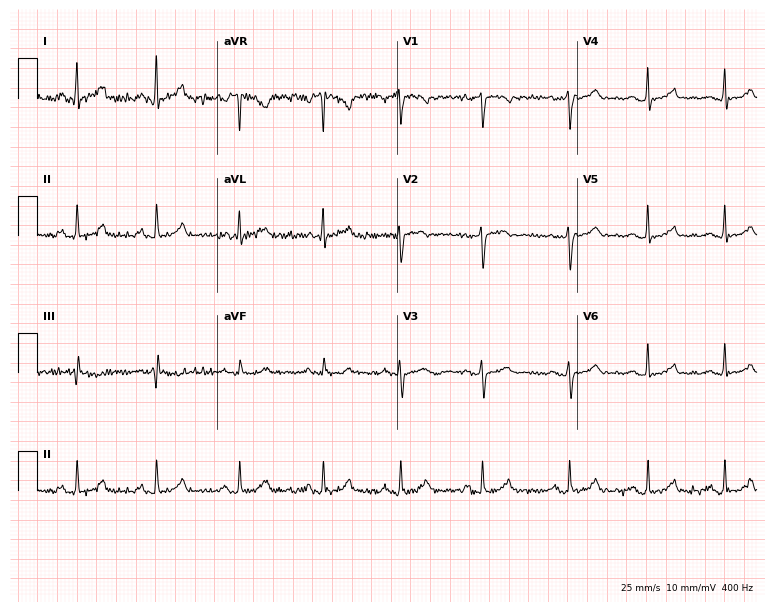
Standard 12-lead ECG recorded from a female, 24 years old (7.3-second recording at 400 Hz). Read as a normal ECG.